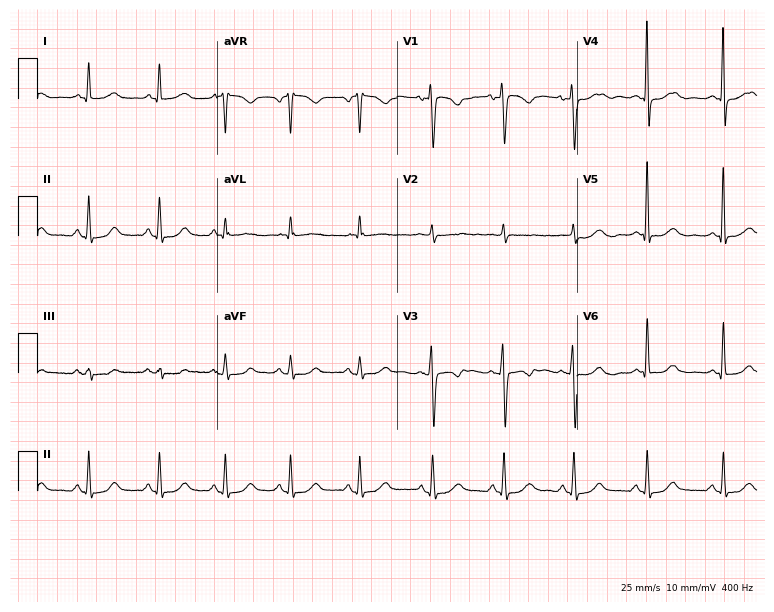
Electrocardiogram (7.3-second recording at 400 Hz), a 45-year-old female. Overall reading on record: normal ECG.